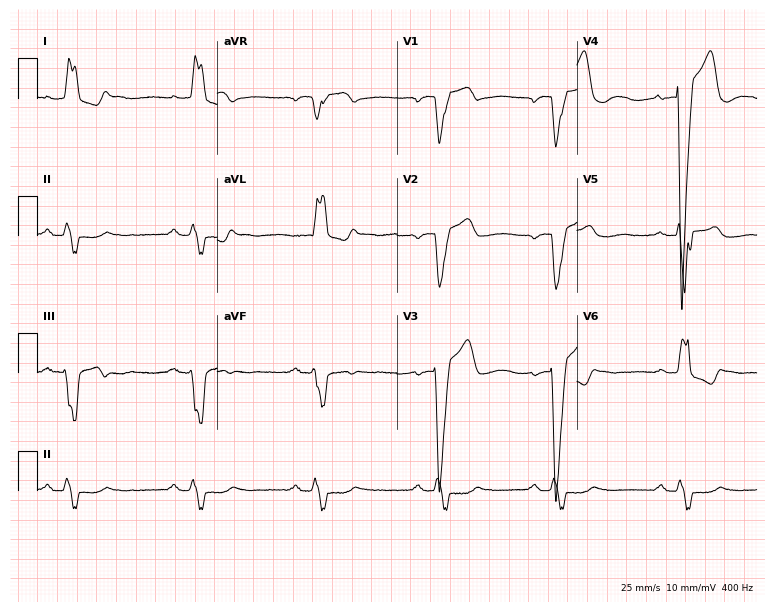
Standard 12-lead ECG recorded from a woman, 73 years old. The tracing shows first-degree AV block, left bundle branch block (LBBB), sinus bradycardia (a sinus rate of 50 beats per minute or less).